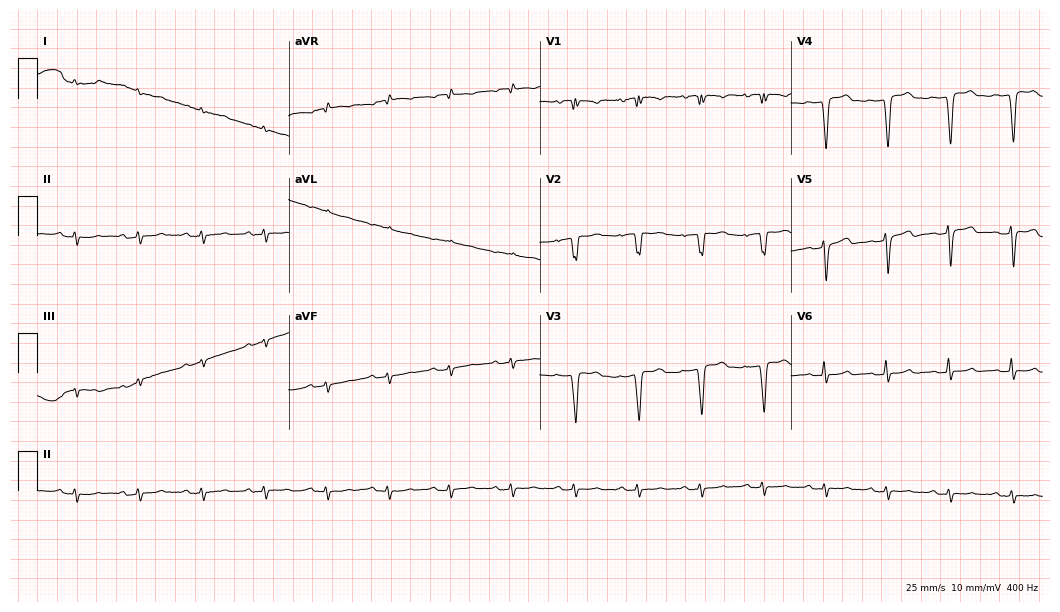
Standard 12-lead ECG recorded from a female, 76 years old (10.2-second recording at 400 Hz). None of these six findings is recorded: first-degree AV block, right bundle branch block, left bundle branch block, sinus bradycardia, atrial fibrillation, sinus tachycardia. Other findings, if any, are not listed.